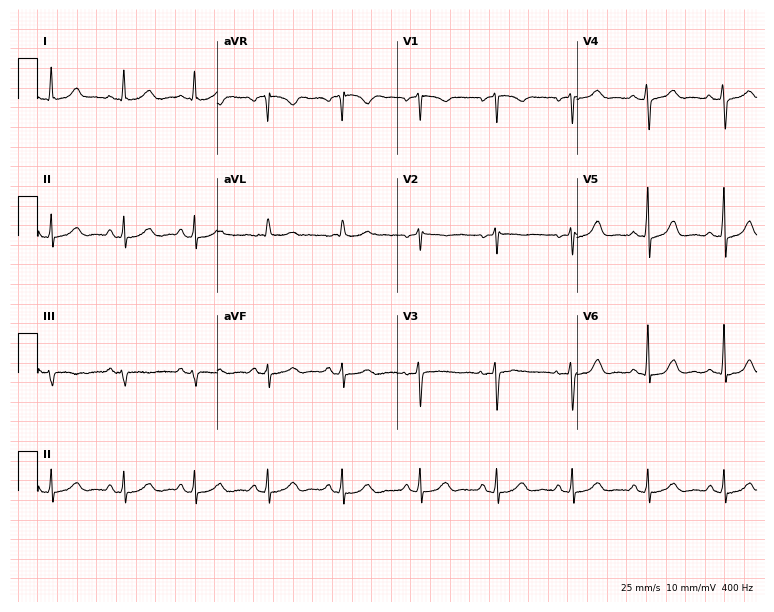
12-lead ECG (7.3-second recording at 400 Hz) from a 50-year-old woman. Labelled as a normal ECG.